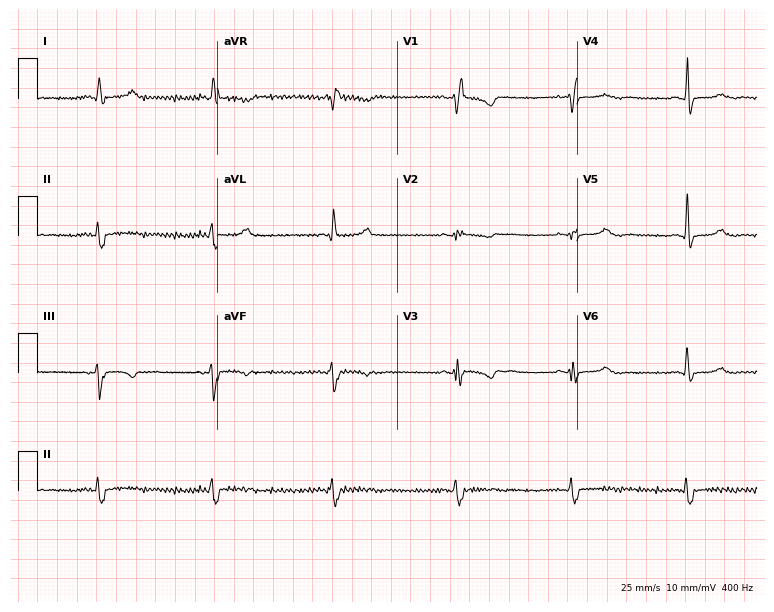
12-lead ECG (7.3-second recording at 400 Hz) from a 50-year-old female patient. Findings include right bundle branch block.